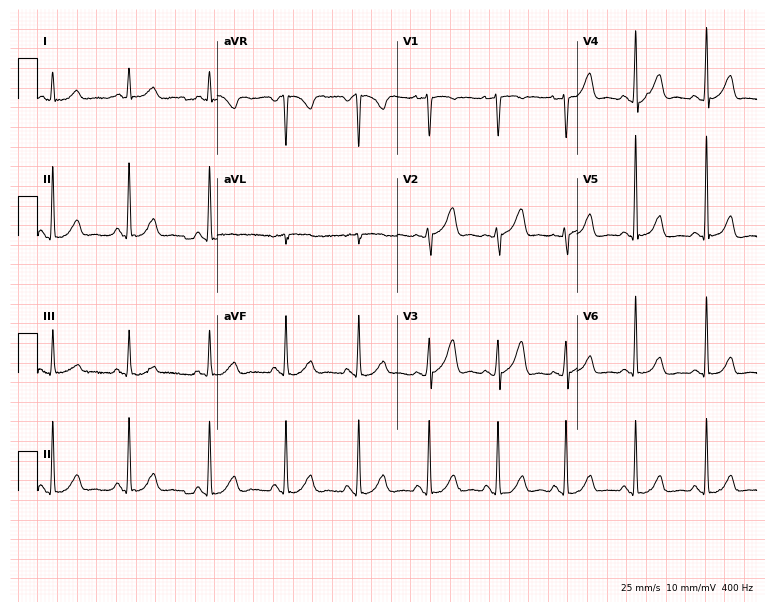
12-lead ECG from a 38-year-old female patient (7.3-second recording at 400 Hz). Recorded interpretation: within normal limits.